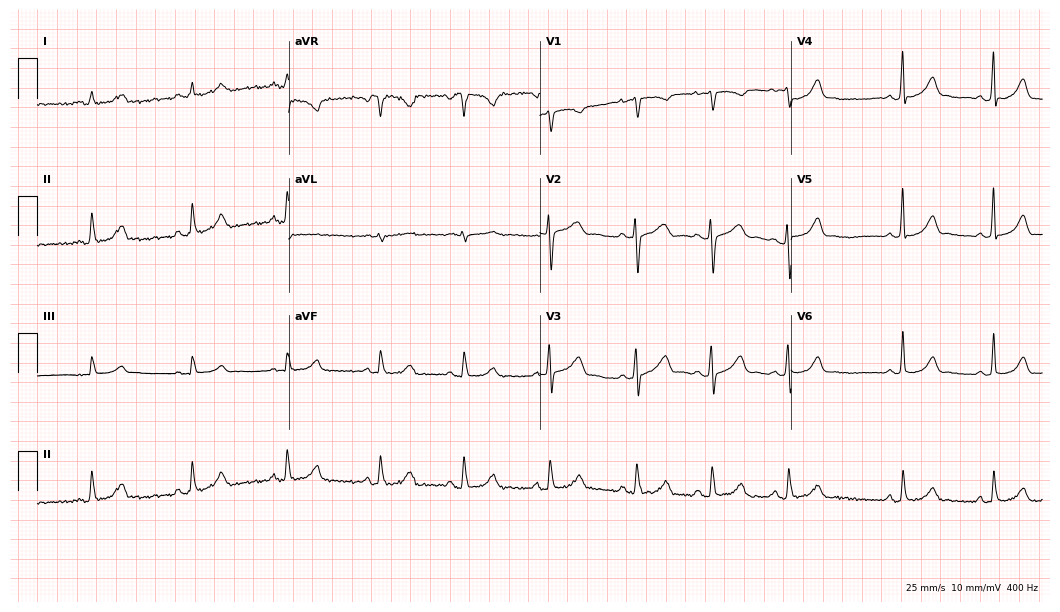
Resting 12-lead electrocardiogram (10.2-second recording at 400 Hz). Patient: a 21-year-old woman. Read as a normal ECG.